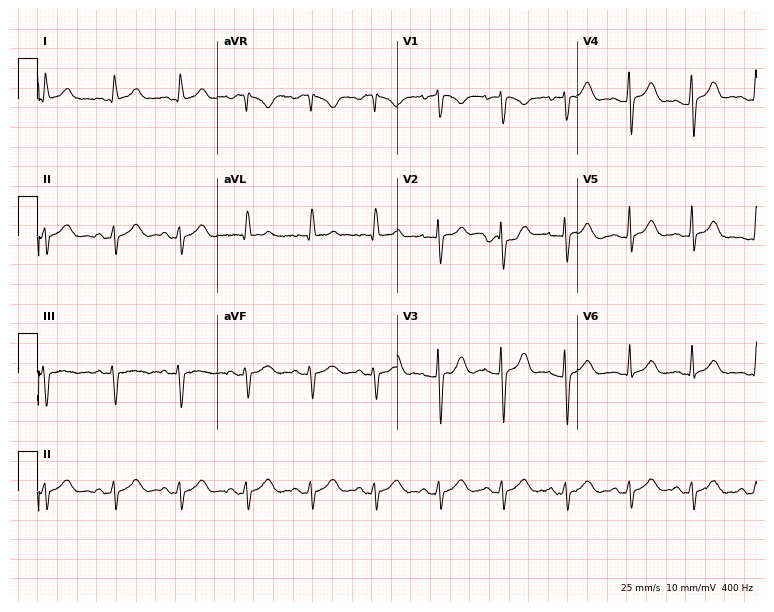
Resting 12-lead electrocardiogram (7.3-second recording at 400 Hz). Patient: a female, 40 years old. None of these six findings is recorded: first-degree AV block, right bundle branch block (RBBB), left bundle branch block (LBBB), sinus bradycardia, atrial fibrillation (AF), sinus tachycardia. Only these six findings were labelled.